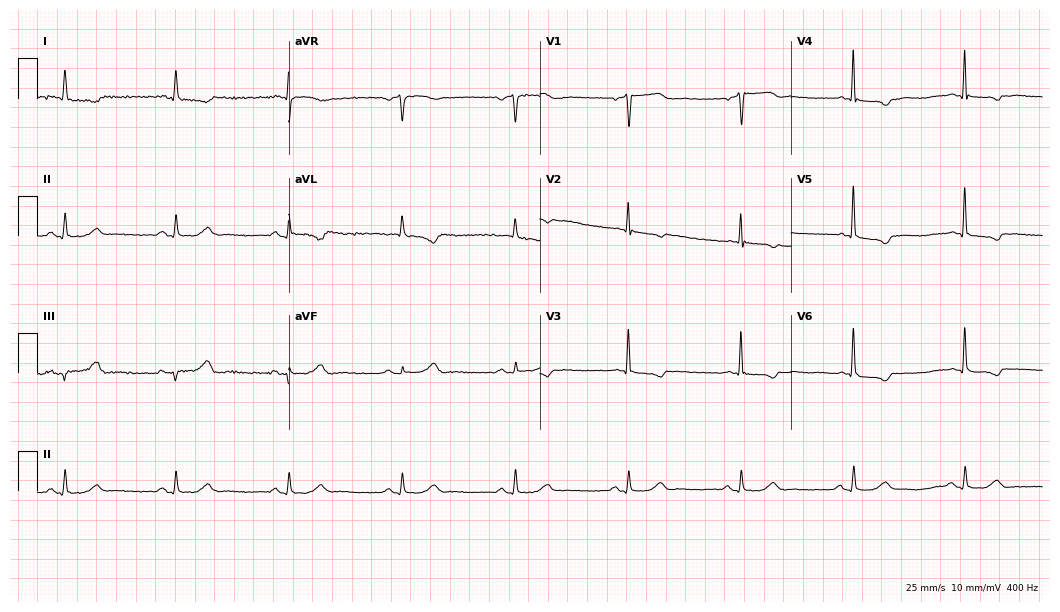
Standard 12-lead ECG recorded from a female, 78 years old (10.2-second recording at 400 Hz). None of these six findings is recorded: first-degree AV block, right bundle branch block (RBBB), left bundle branch block (LBBB), sinus bradycardia, atrial fibrillation (AF), sinus tachycardia. Only these six findings were labelled.